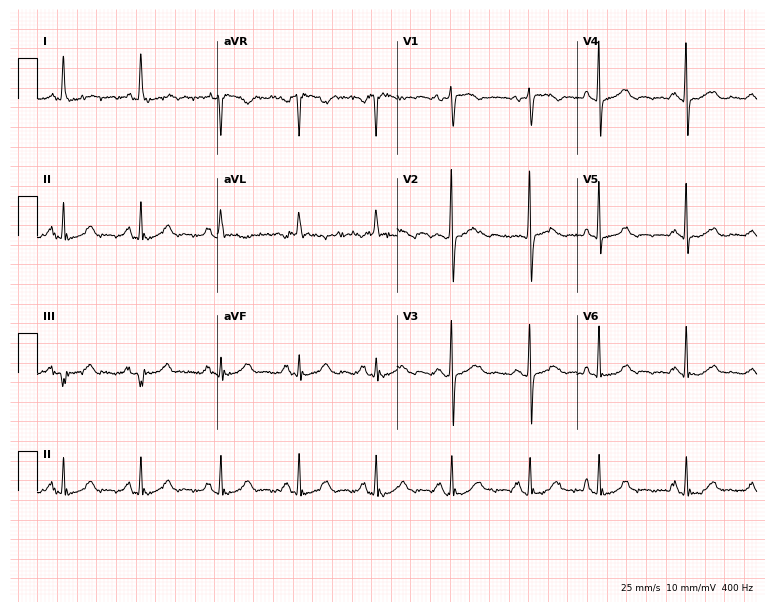
Resting 12-lead electrocardiogram. Patient: an 81-year-old female. Read as a normal ECG.